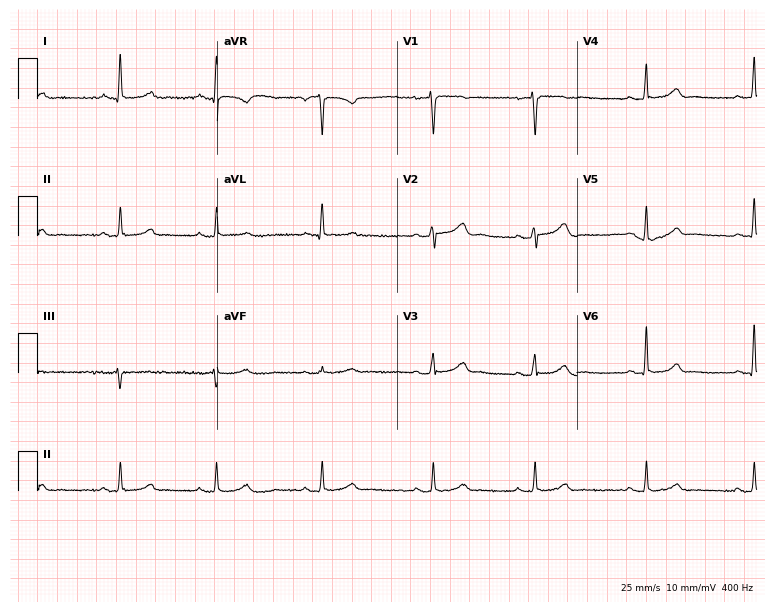
12-lead ECG from a 36-year-old female patient. Labelled as a normal ECG.